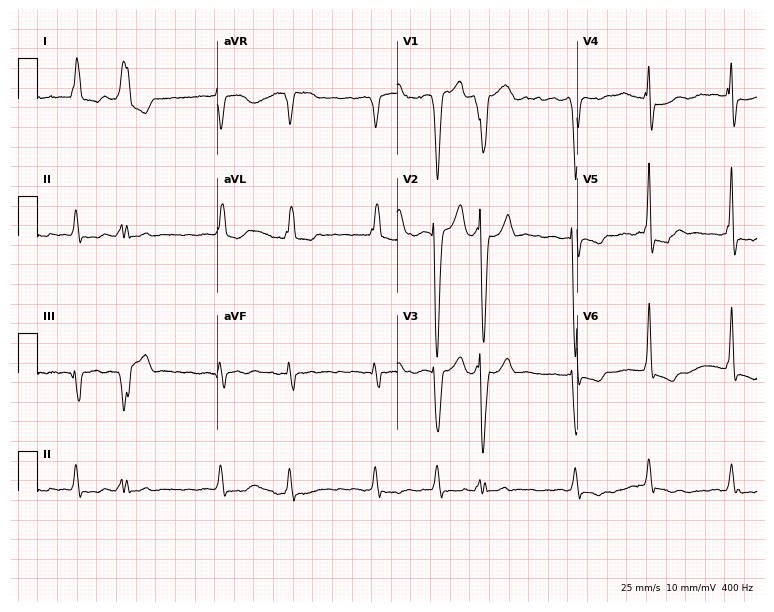
Standard 12-lead ECG recorded from a 71-year-old female patient. The tracing shows left bundle branch block, atrial fibrillation.